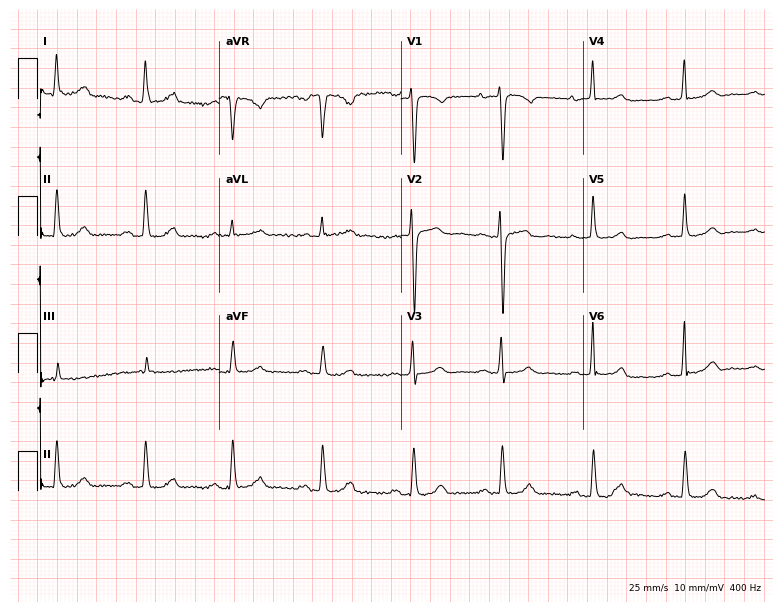
Standard 12-lead ECG recorded from a woman, 31 years old. Read as a normal ECG.